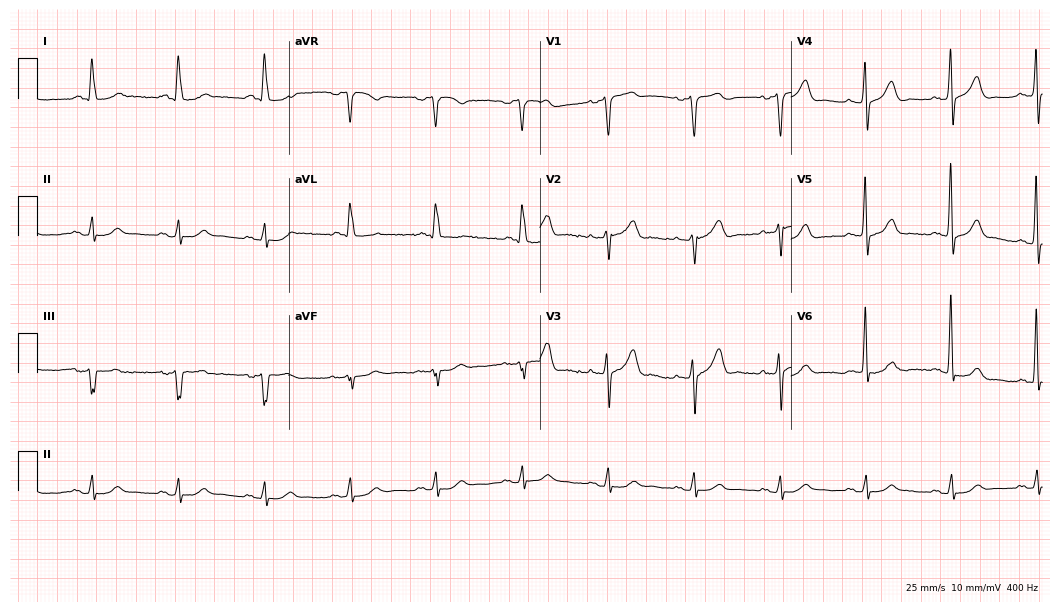
Standard 12-lead ECG recorded from a 71-year-old man (10.2-second recording at 400 Hz). Read as a normal ECG.